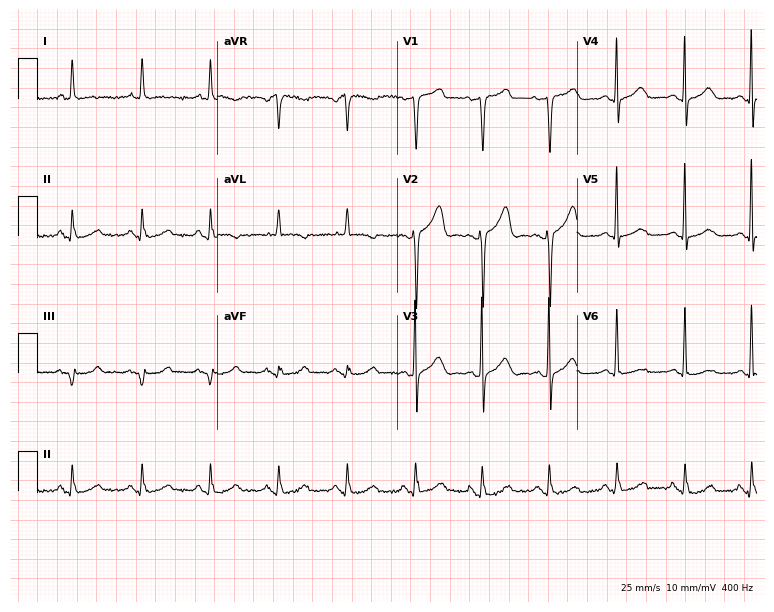
12-lead ECG from a woman, 81 years old. Recorded interpretation: within normal limits.